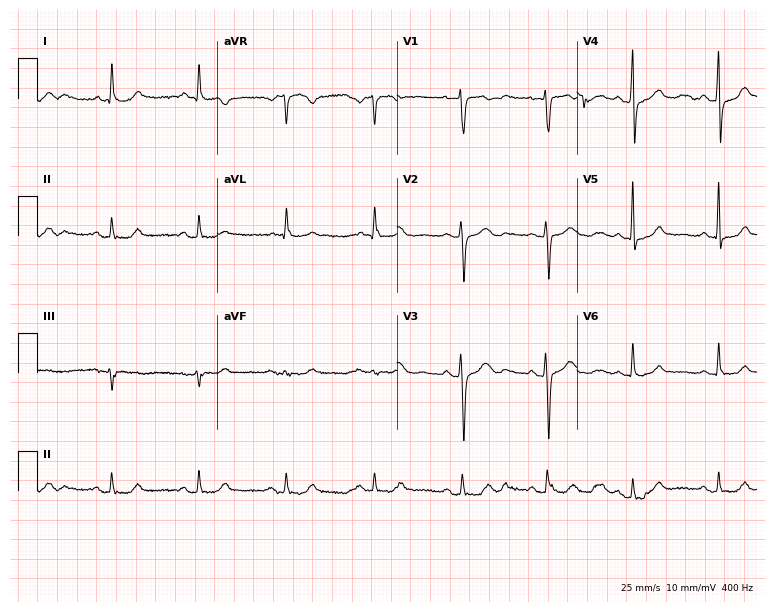
12-lead ECG from a 75-year-old female patient (7.3-second recording at 400 Hz). Recorded interpretation: within normal limits.